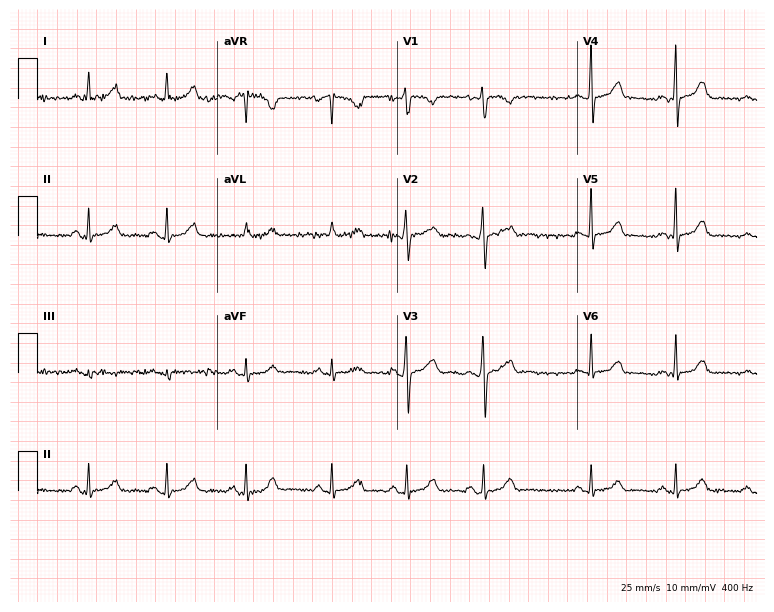
Resting 12-lead electrocardiogram. Patient: a 27-year-old female. Read as a normal ECG.